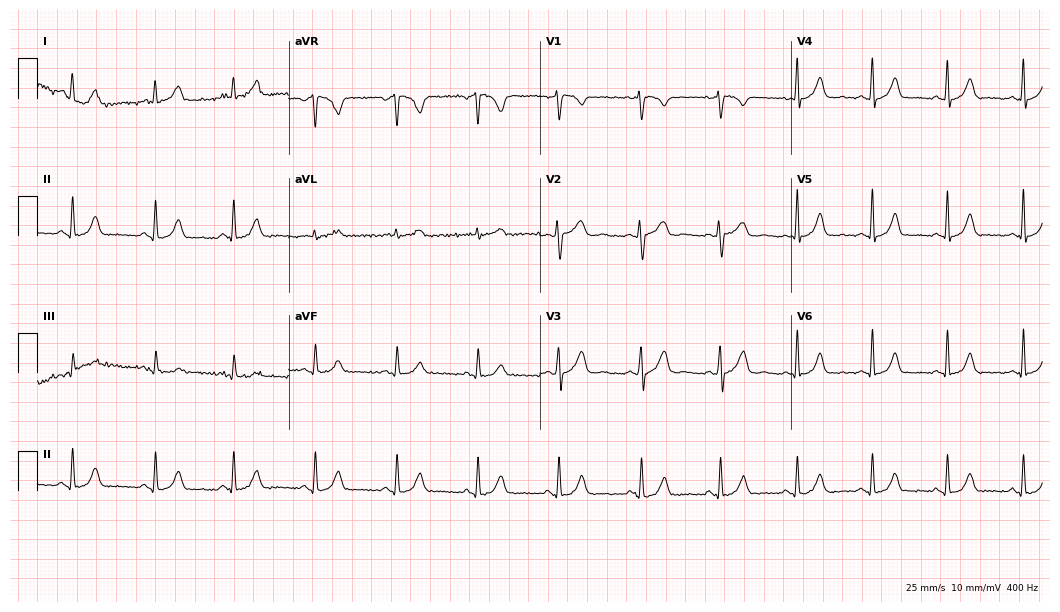
Standard 12-lead ECG recorded from a female patient, 31 years old (10.2-second recording at 400 Hz). Read as a normal ECG.